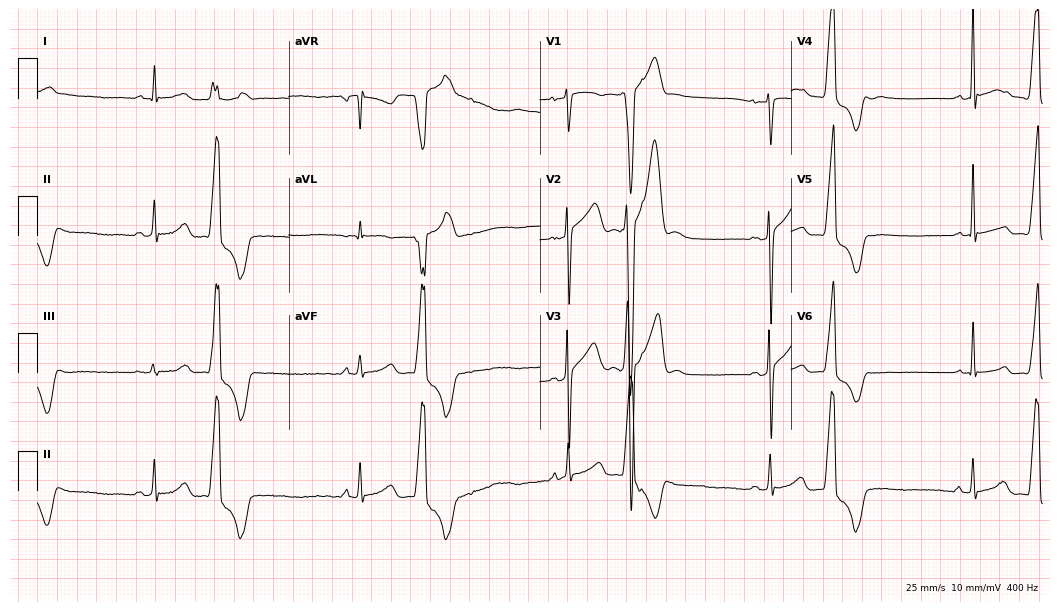
Resting 12-lead electrocardiogram. Patient: a 19-year-old man. None of these six findings is recorded: first-degree AV block, right bundle branch block (RBBB), left bundle branch block (LBBB), sinus bradycardia, atrial fibrillation (AF), sinus tachycardia.